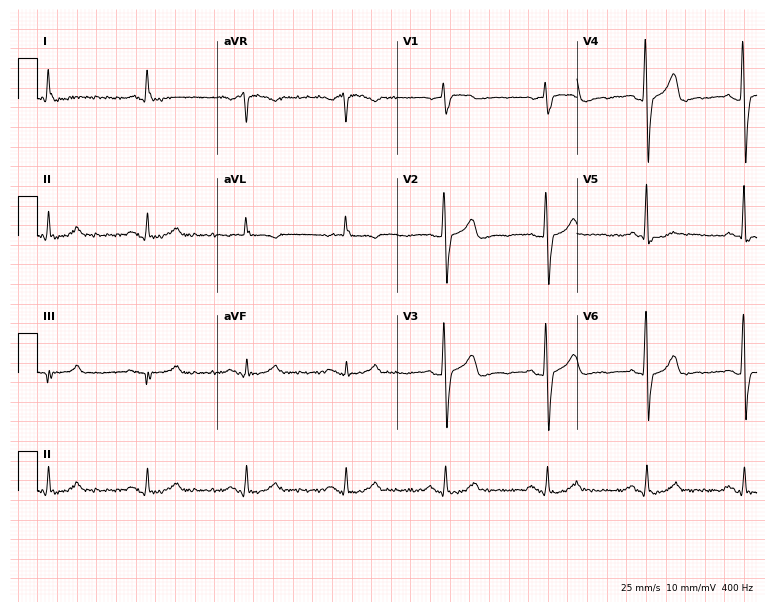
12-lead ECG from a male patient, 85 years old. Screened for six findings — first-degree AV block, right bundle branch block (RBBB), left bundle branch block (LBBB), sinus bradycardia, atrial fibrillation (AF), sinus tachycardia — none is recorded.